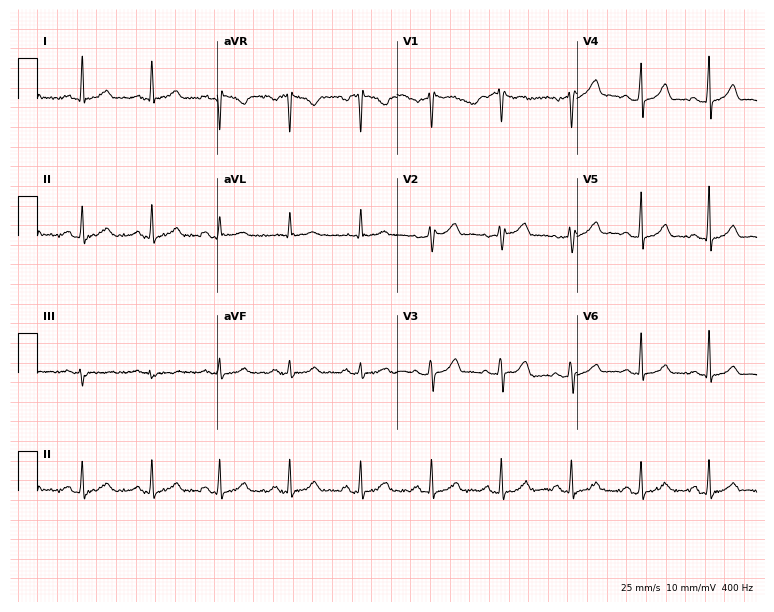
Electrocardiogram (7.3-second recording at 400 Hz), a female, 41 years old. Overall reading on record: normal ECG.